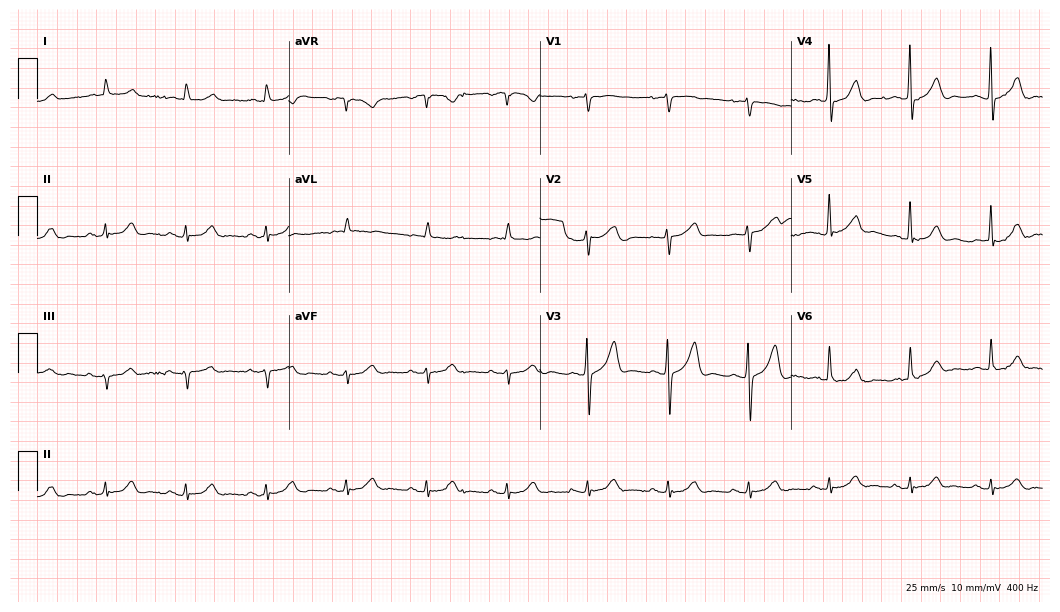
Resting 12-lead electrocardiogram. Patient: an 81-year-old man. Read as a normal ECG.